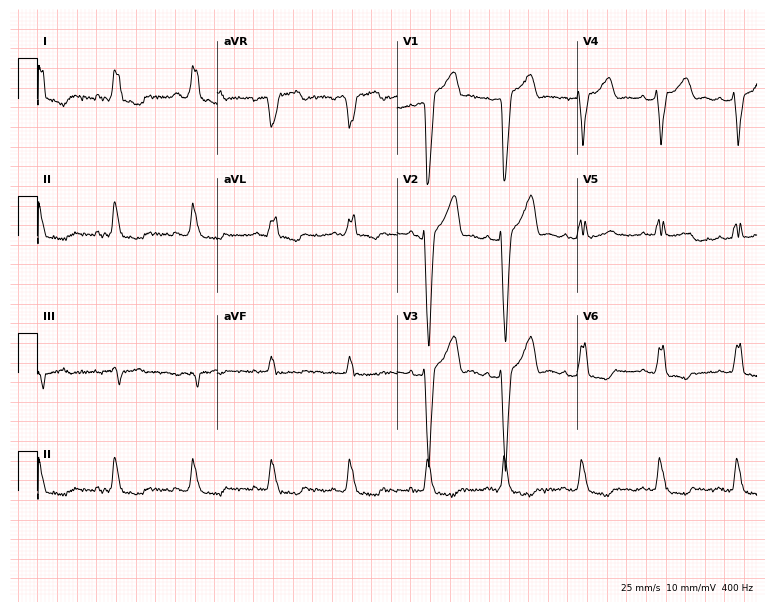
Electrocardiogram, an 81-year-old male patient. Interpretation includes left bundle branch block.